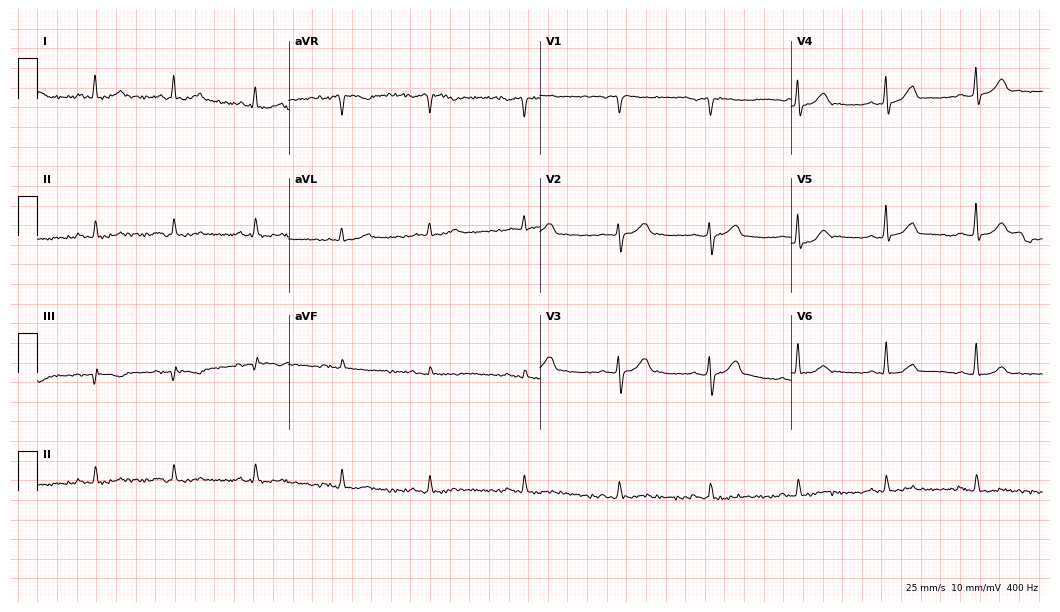
12-lead ECG (10.2-second recording at 400 Hz) from a male patient, 60 years old. Screened for six findings — first-degree AV block, right bundle branch block, left bundle branch block, sinus bradycardia, atrial fibrillation, sinus tachycardia — none is recorded.